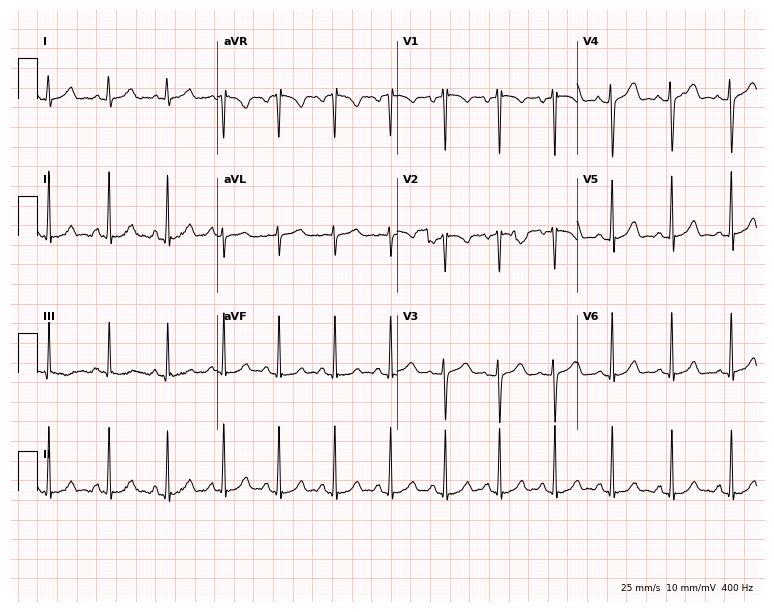
ECG (7.3-second recording at 400 Hz) — a female, 20 years old. Findings include sinus tachycardia (a sinus rate of 100 beats per minute or more).